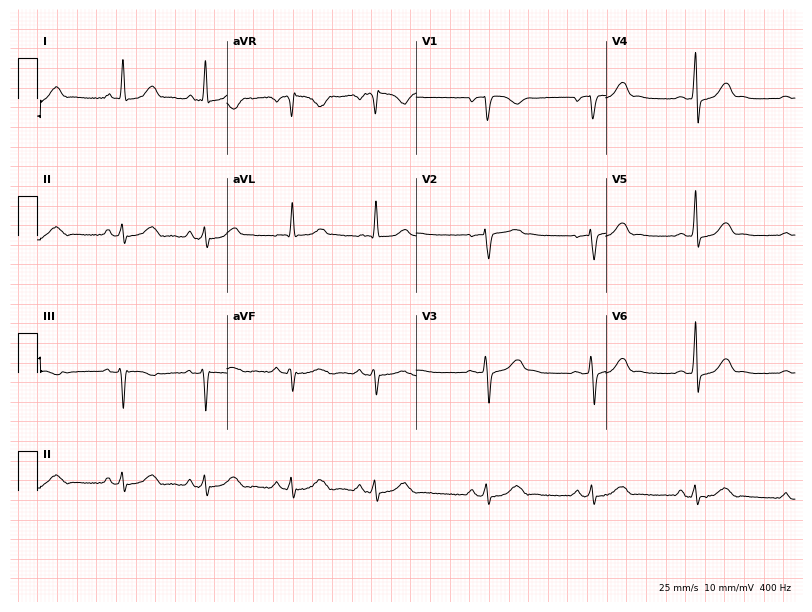
12-lead ECG from a 53-year-old woman (7.7-second recording at 400 Hz). Recorded interpretation: within normal limits.